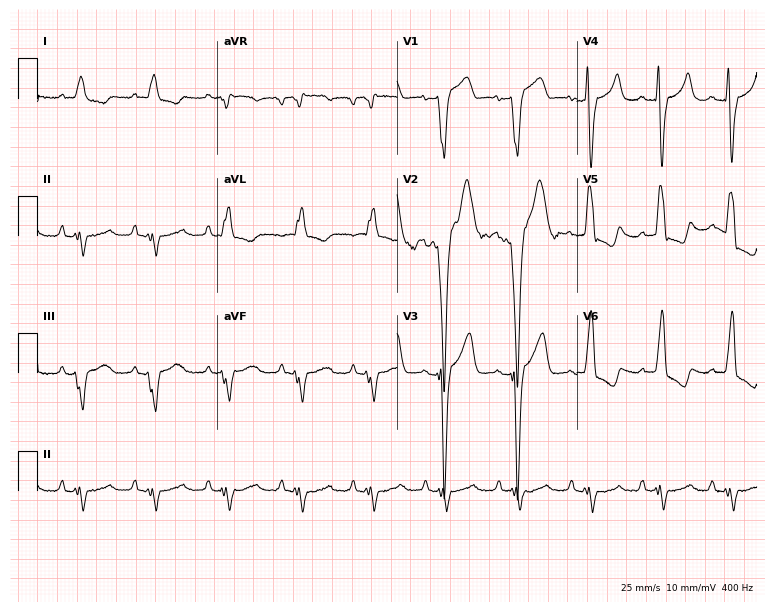
Standard 12-lead ECG recorded from a male patient, 71 years old (7.3-second recording at 400 Hz). None of these six findings is recorded: first-degree AV block, right bundle branch block, left bundle branch block, sinus bradycardia, atrial fibrillation, sinus tachycardia.